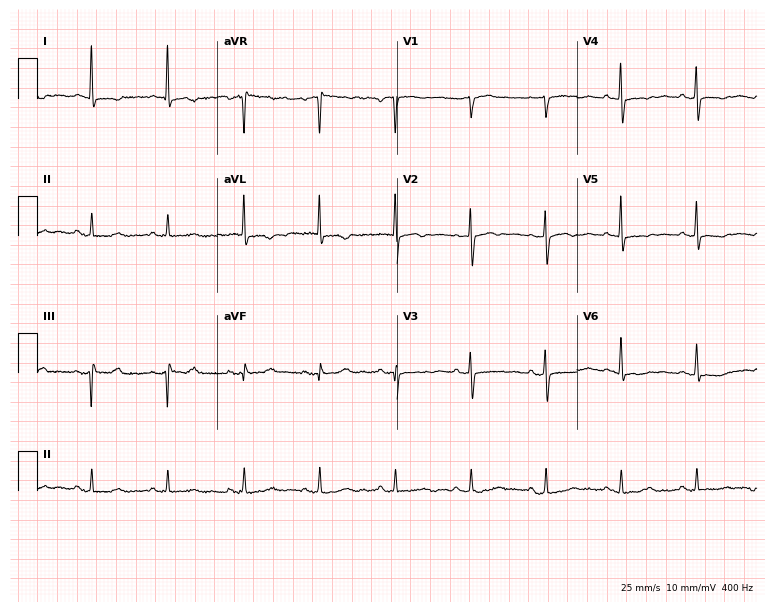
Resting 12-lead electrocardiogram. Patient: a female, 83 years old. None of these six findings is recorded: first-degree AV block, right bundle branch block (RBBB), left bundle branch block (LBBB), sinus bradycardia, atrial fibrillation (AF), sinus tachycardia.